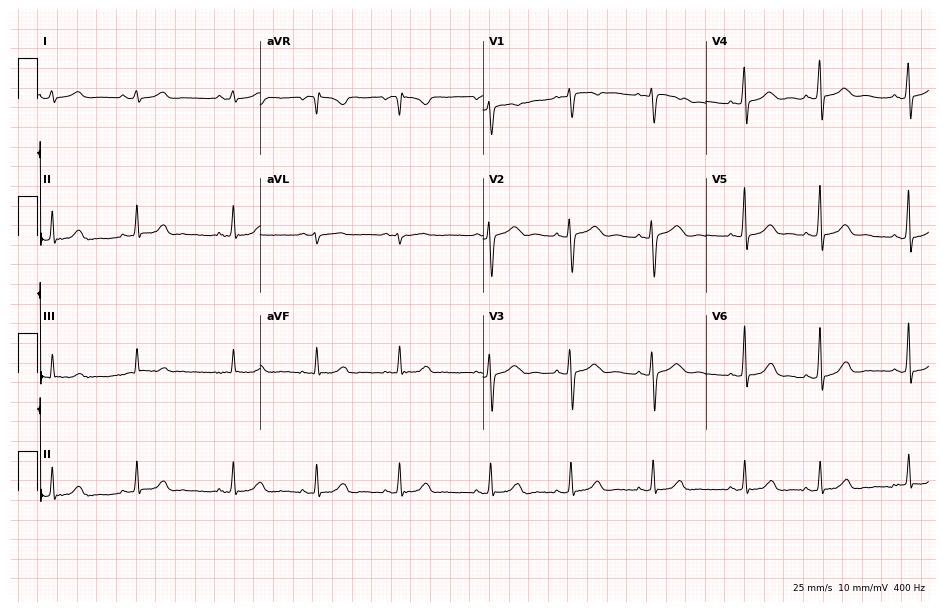
ECG — a female patient, 36 years old. Labelled as a normal ECG.